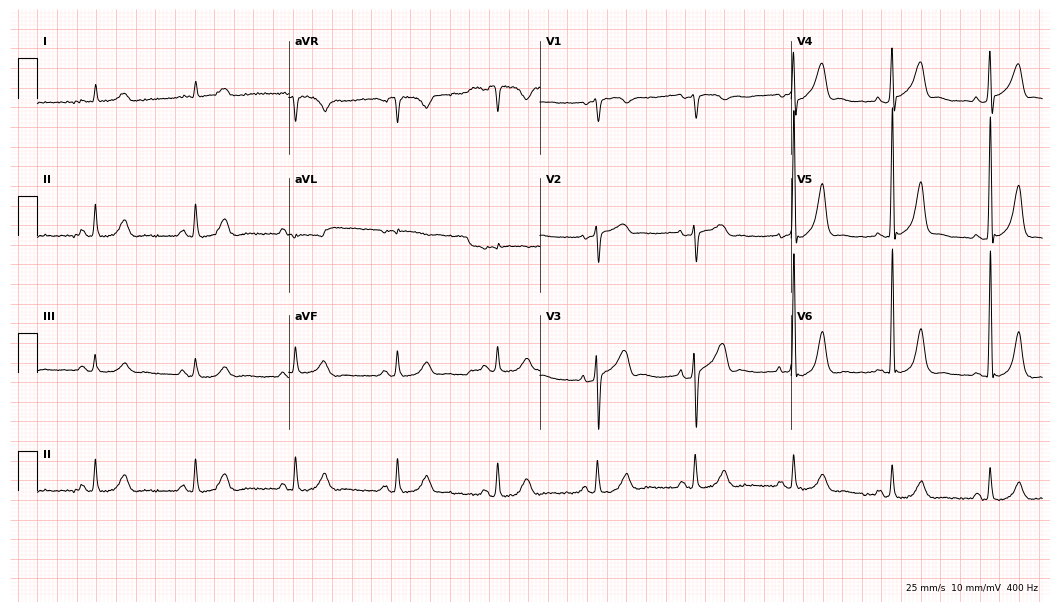
12-lead ECG (10.2-second recording at 400 Hz) from a male patient, 80 years old. Labelled as a normal ECG.